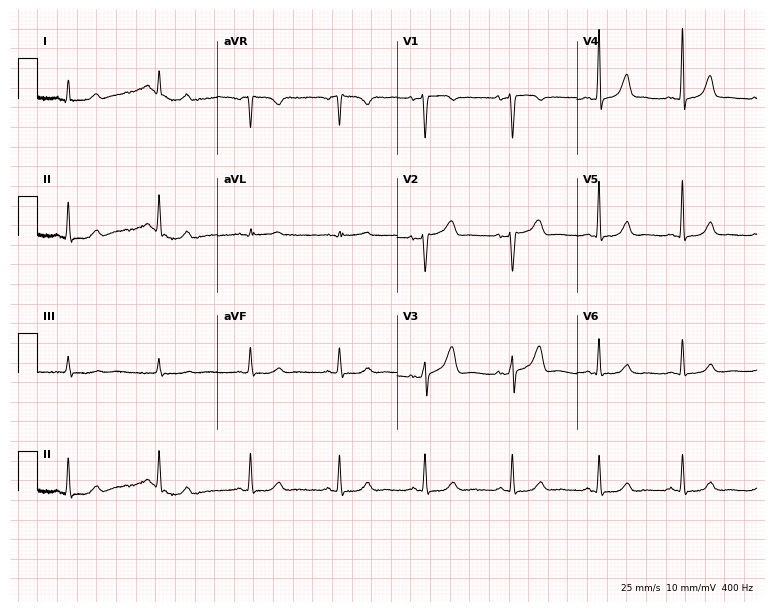
ECG — a female patient, 45 years old. Screened for six findings — first-degree AV block, right bundle branch block, left bundle branch block, sinus bradycardia, atrial fibrillation, sinus tachycardia — none is recorded.